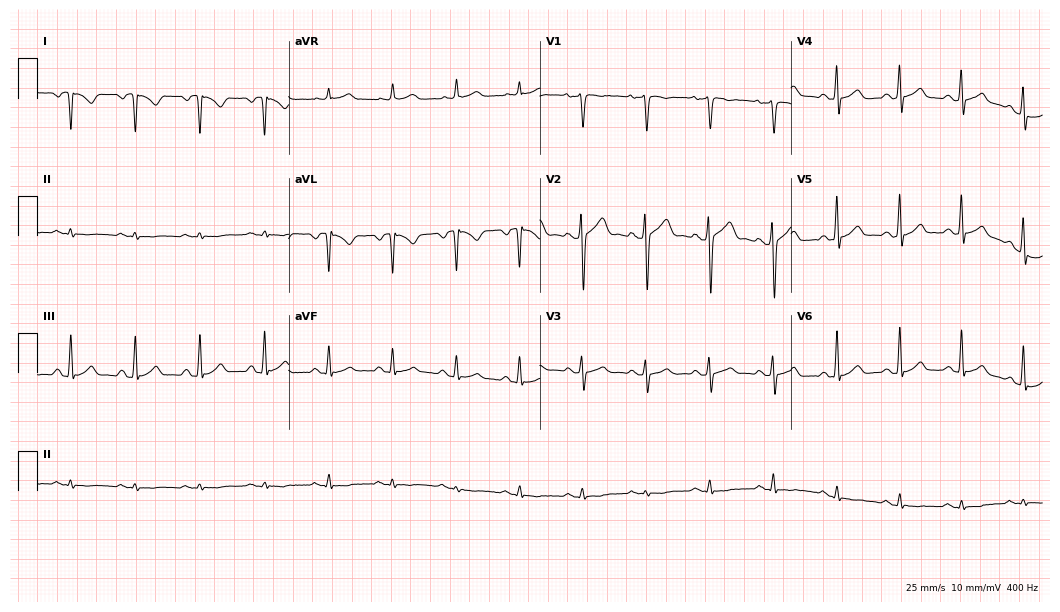
12-lead ECG from a 37-year-old male (10.2-second recording at 400 Hz). No first-degree AV block, right bundle branch block, left bundle branch block, sinus bradycardia, atrial fibrillation or sinus tachycardia recorded for this tracing.